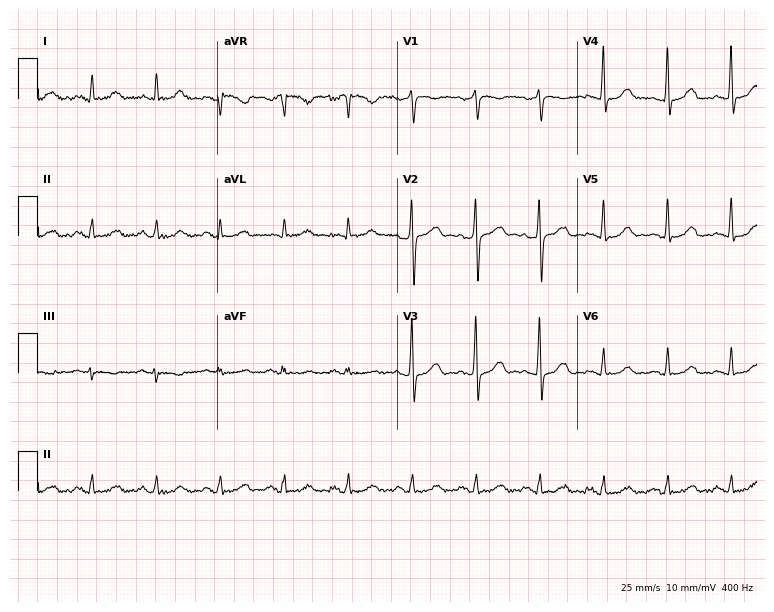
ECG (7.3-second recording at 400 Hz) — a man, 45 years old. Screened for six findings — first-degree AV block, right bundle branch block, left bundle branch block, sinus bradycardia, atrial fibrillation, sinus tachycardia — none is recorded. Only these six findings were labelled.